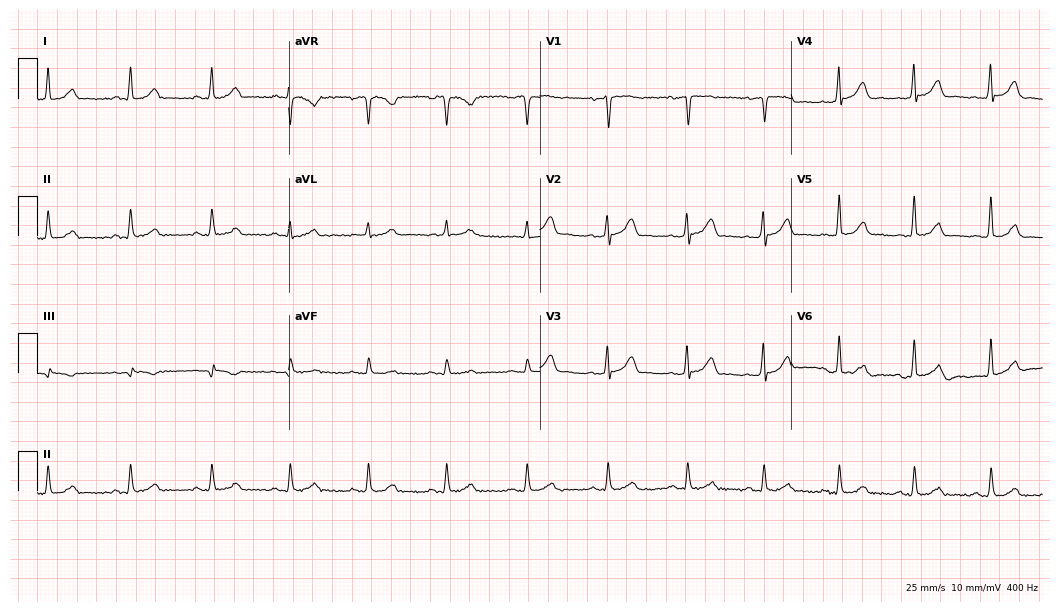
Resting 12-lead electrocardiogram. Patient: a 45-year-old male. Read as a normal ECG.